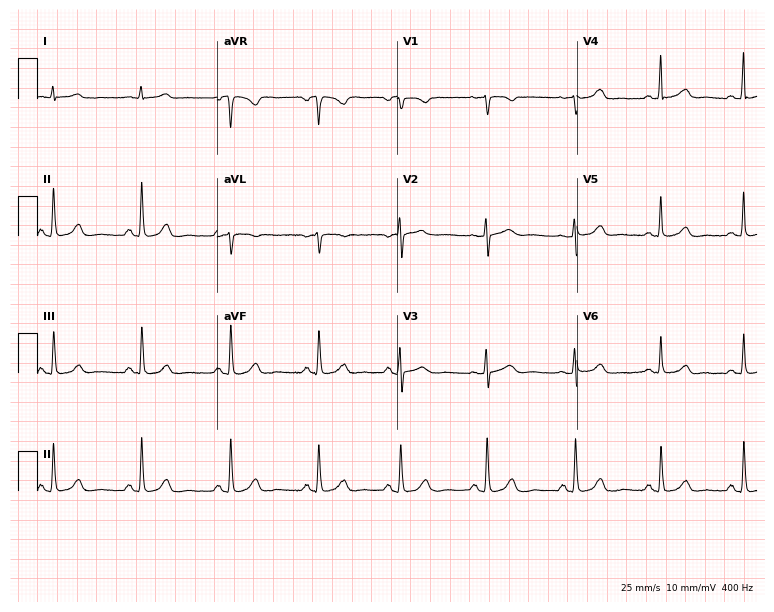
Resting 12-lead electrocardiogram. Patient: a female, 43 years old. Read as a normal ECG.